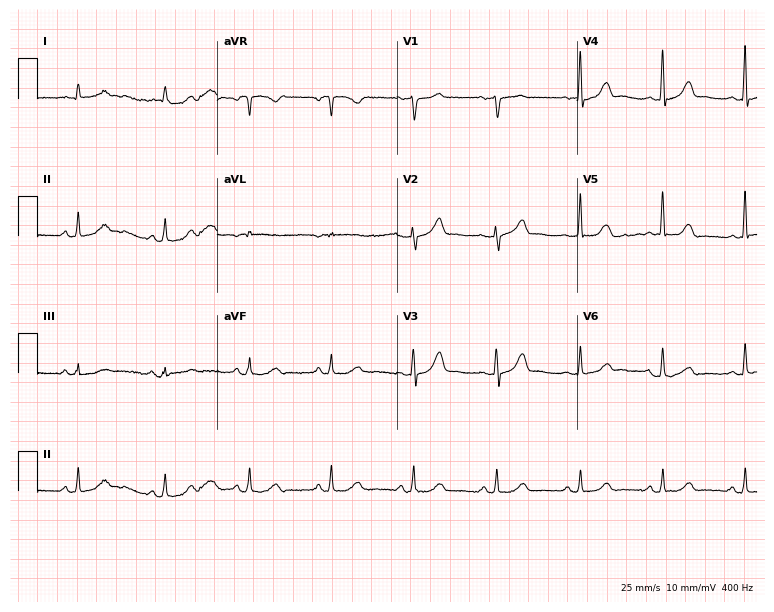
12-lead ECG from a 51-year-old female patient (7.3-second recording at 400 Hz). No first-degree AV block, right bundle branch block, left bundle branch block, sinus bradycardia, atrial fibrillation or sinus tachycardia recorded for this tracing. Other findings, if any, are not listed.